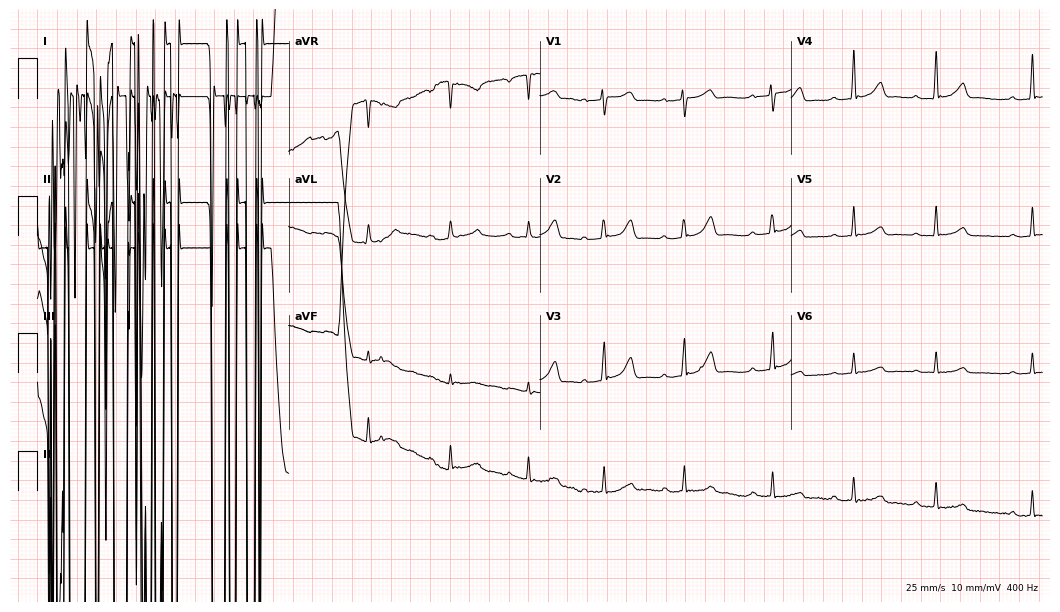
ECG (10.2-second recording at 400 Hz) — a 25-year-old female patient. Screened for six findings — first-degree AV block, right bundle branch block (RBBB), left bundle branch block (LBBB), sinus bradycardia, atrial fibrillation (AF), sinus tachycardia — none is recorded. Only these six findings were labelled.